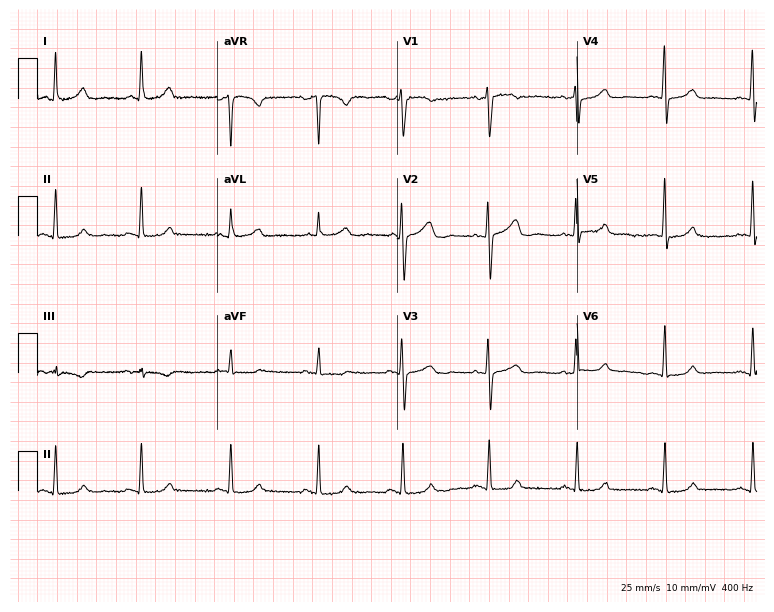
12-lead ECG from a female, 44 years old. Screened for six findings — first-degree AV block, right bundle branch block (RBBB), left bundle branch block (LBBB), sinus bradycardia, atrial fibrillation (AF), sinus tachycardia — none is recorded. Findings outside these six are not listed.